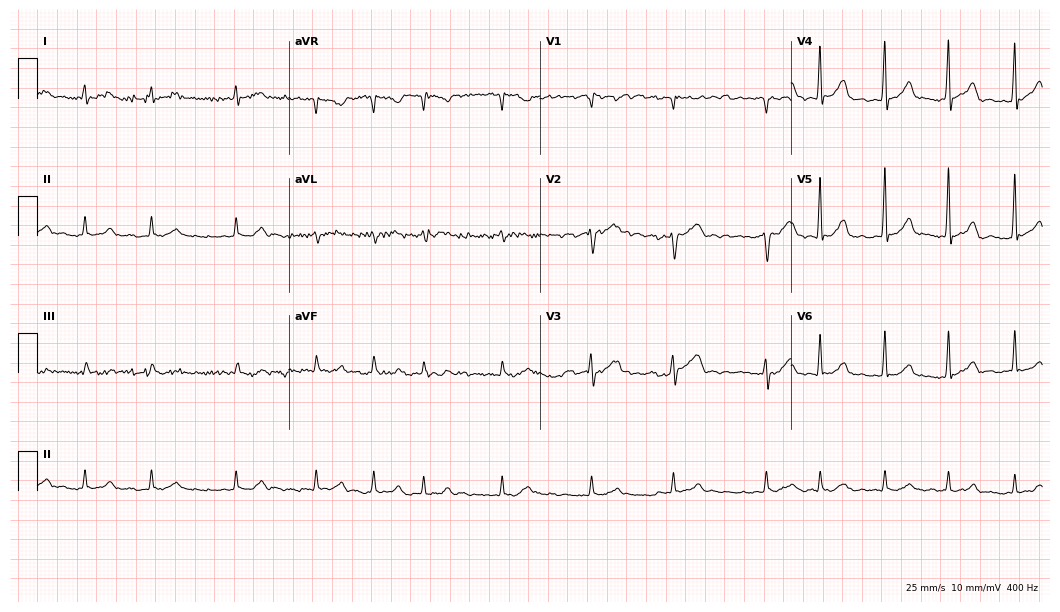
Resting 12-lead electrocardiogram. Patient: a man, 59 years old. None of these six findings is recorded: first-degree AV block, right bundle branch block, left bundle branch block, sinus bradycardia, atrial fibrillation, sinus tachycardia.